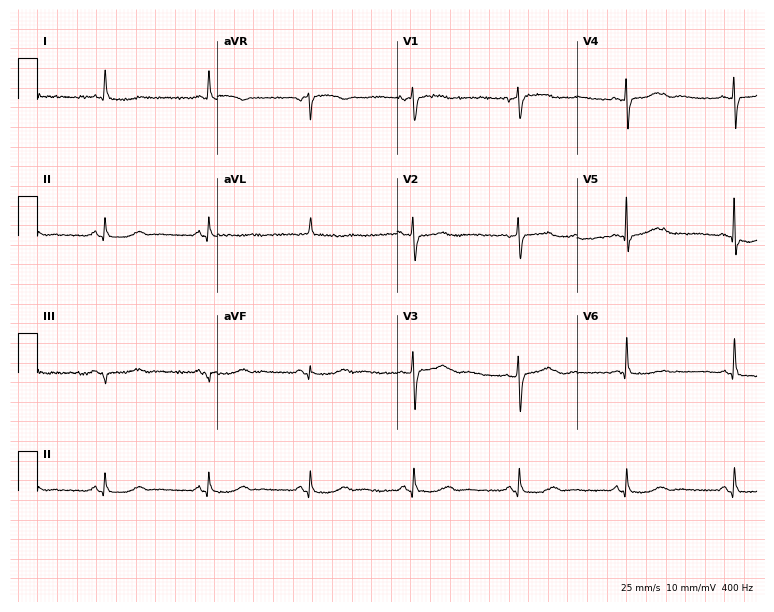
12-lead ECG from a female patient, 83 years old. No first-degree AV block, right bundle branch block, left bundle branch block, sinus bradycardia, atrial fibrillation or sinus tachycardia recorded for this tracing.